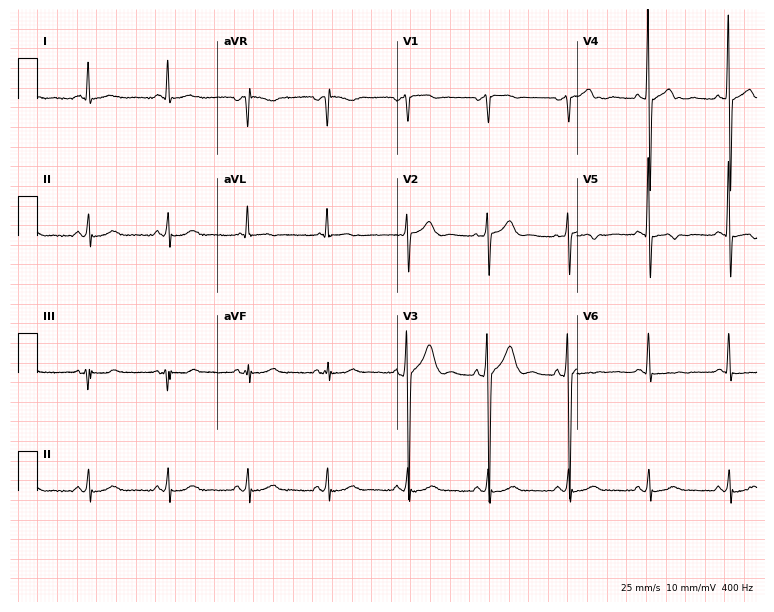
ECG — a 55-year-old female. Screened for six findings — first-degree AV block, right bundle branch block, left bundle branch block, sinus bradycardia, atrial fibrillation, sinus tachycardia — none is recorded.